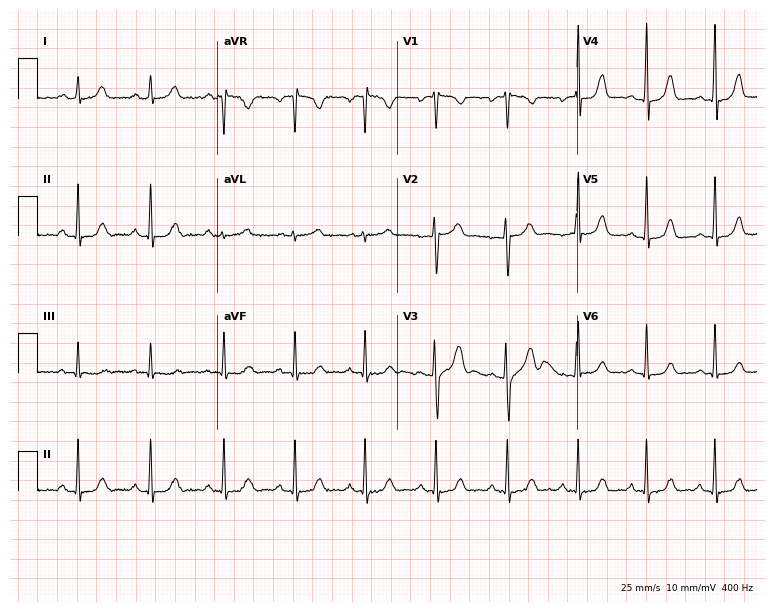
ECG (7.3-second recording at 400 Hz) — a 26-year-old woman. Screened for six findings — first-degree AV block, right bundle branch block (RBBB), left bundle branch block (LBBB), sinus bradycardia, atrial fibrillation (AF), sinus tachycardia — none is recorded. Other findings, if any, are not listed.